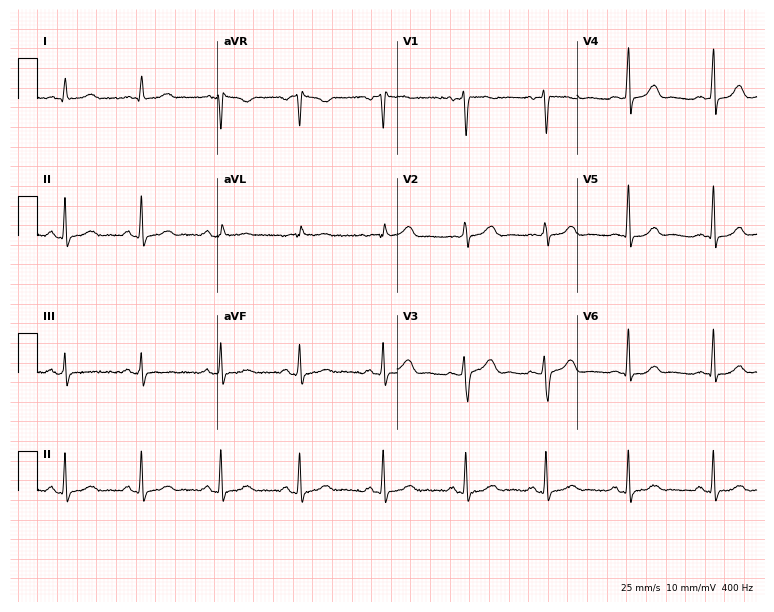
Standard 12-lead ECG recorded from a female patient, 40 years old. Read as a normal ECG.